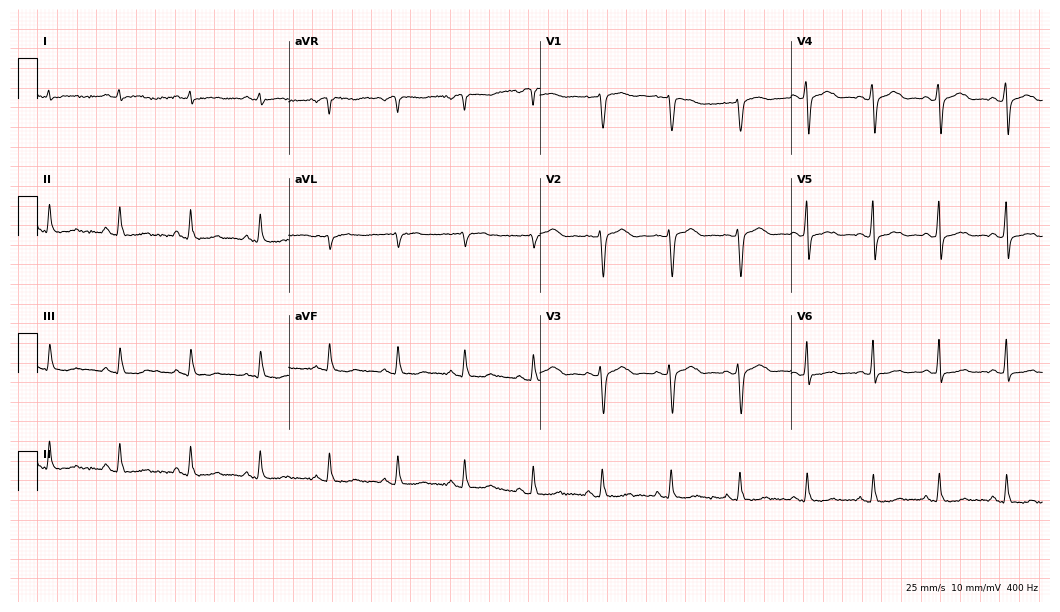
12-lead ECG from a female, 49 years old (10.2-second recording at 400 Hz). No first-degree AV block, right bundle branch block, left bundle branch block, sinus bradycardia, atrial fibrillation or sinus tachycardia recorded for this tracing. Other findings, if any, are not listed.